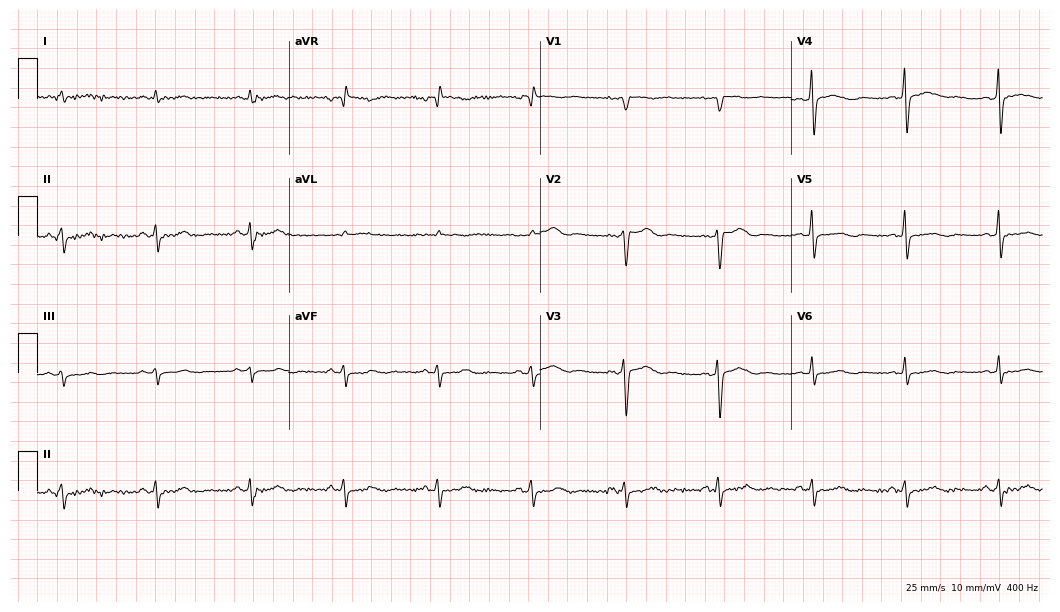
Resting 12-lead electrocardiogram (10.2-second recording at 400 Hz). Patient: a man, 59 years old. None of these six findings is recorded: first-degree AV block, right bundle branch block (RBBB), left bundle branch block (LBBB), sinus bradycardia, atrial fibrillation (AF), sinus tachycardia. Findings outside these six are not listed.